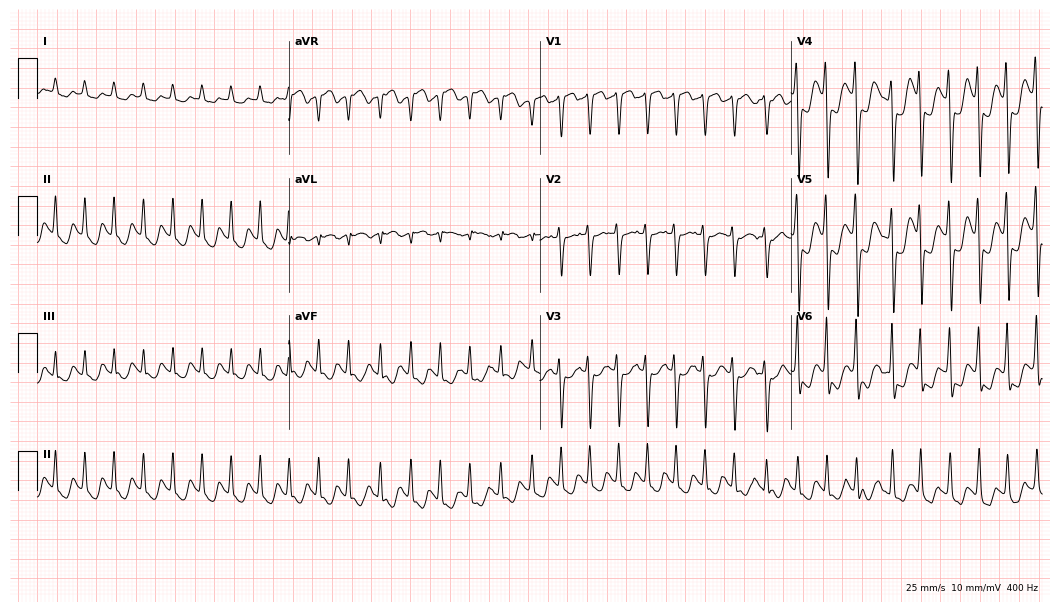
Electrocardiogram (10.2-second recording at 400 Hz), a male patient, 70 years old. Interpretation includes atrial fibrillation (AF), sinus tachycardia (a sinus rate of 100 beats per minute or more).